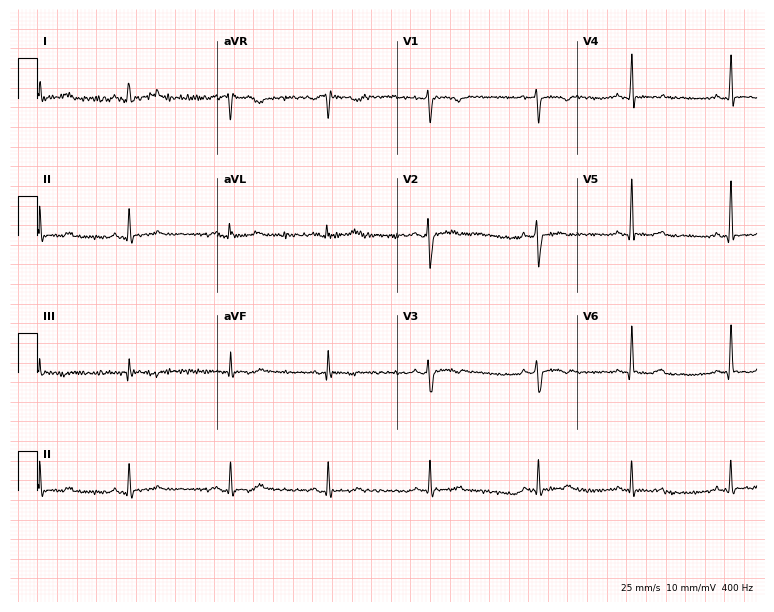
12-lead ECG (7.3-second recording at 400 Hz) from a woman, 27 years old. Screened for six findings — first-degree AV block, right bundle branch block, left bundle branch block, sinus bradycardia, atrial fibrillation, sinus tachycardia — none is recorded. Findings outside these six are not listed.